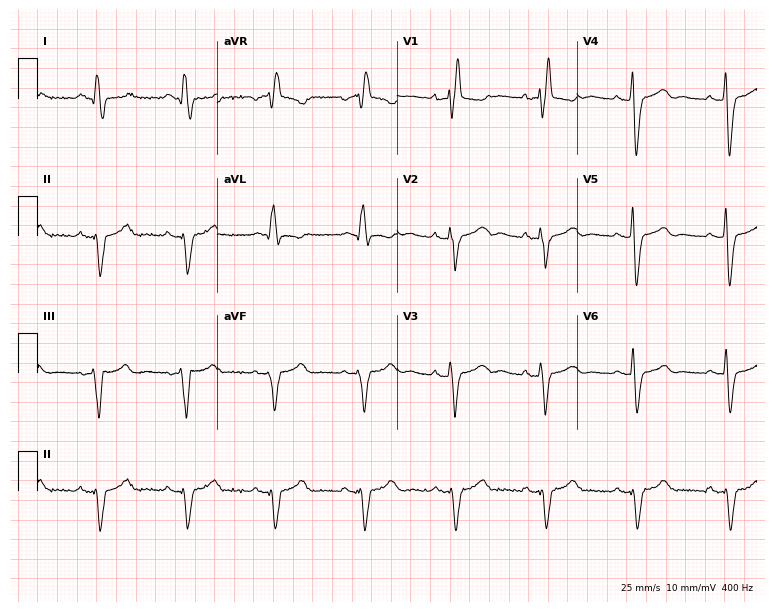
Electrocardiogram (7.3-second recording at 400 Hz), a woman, 71 years old. Interpretation includes right bundle branch block.